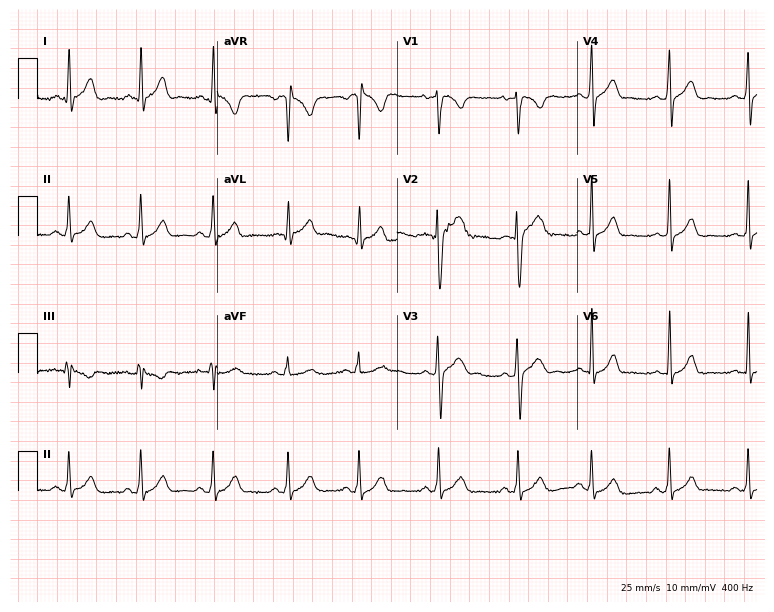
Standard 12-lead ECG recorded from a man, 18 years old. Read as a normal ECG.